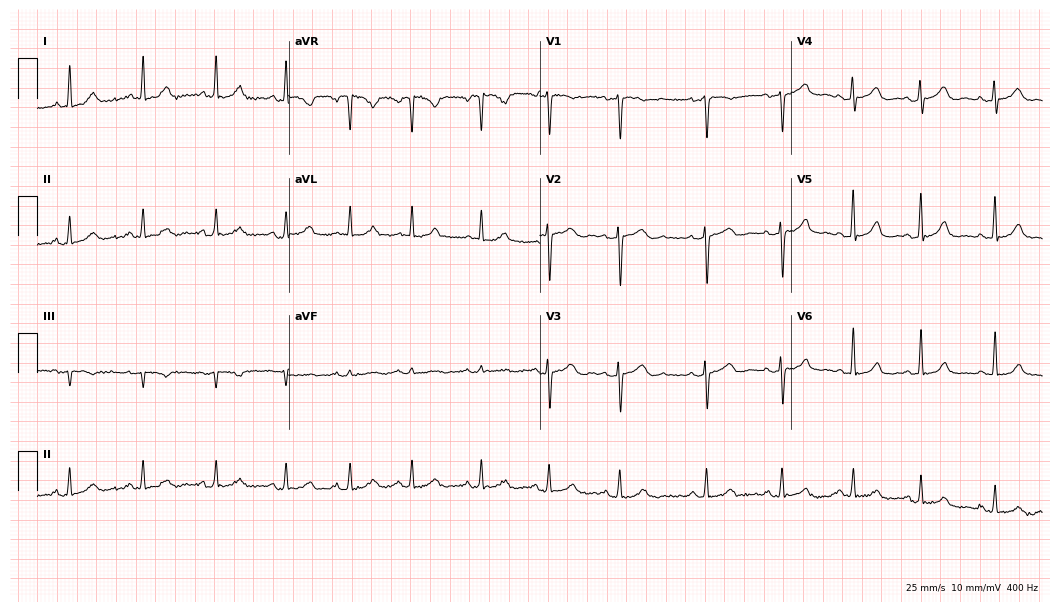
12-lead ECG from a female patient, 39 years old (10.2-second recording at 400 Hz). No first-degree AV block, right bundle branch block, left bundle branch block, sinus bradycardia, atrial fibrillation or sinus tachycardia recorded for this tracing. Other findings, if any, are not listed.